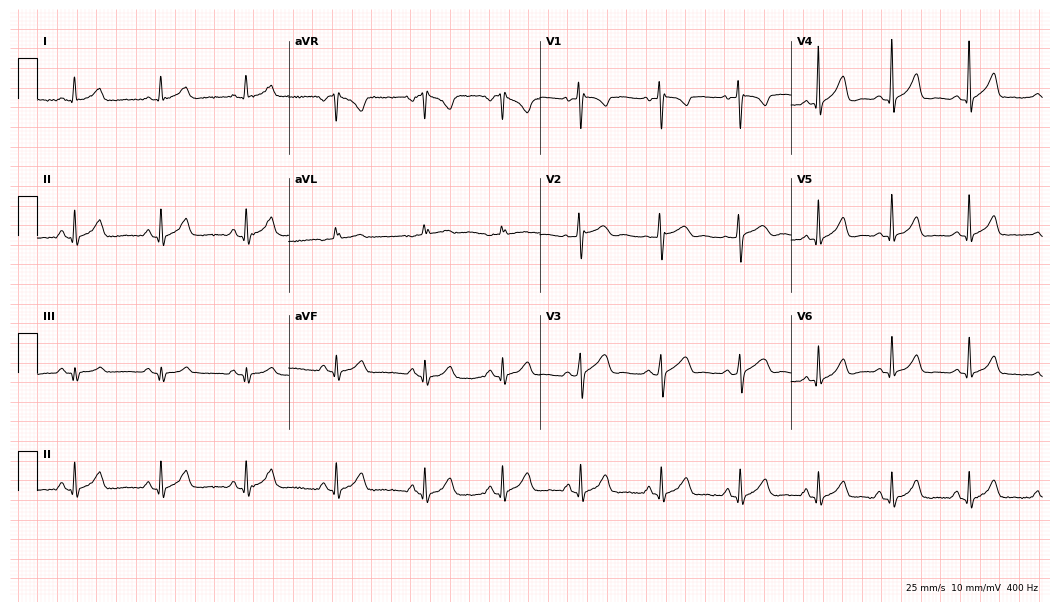
Resting 12-lead electrocardiogram (10.2-second recording at 400 Hz). Patient: a female, 35 years old. None of these six findings is recorded: first-degree AV block, right bundle branch block, left bundle branch block, sinus bradycardia, atrial fibrillation, sinus tachycardia. Findings outside these six are not listed.